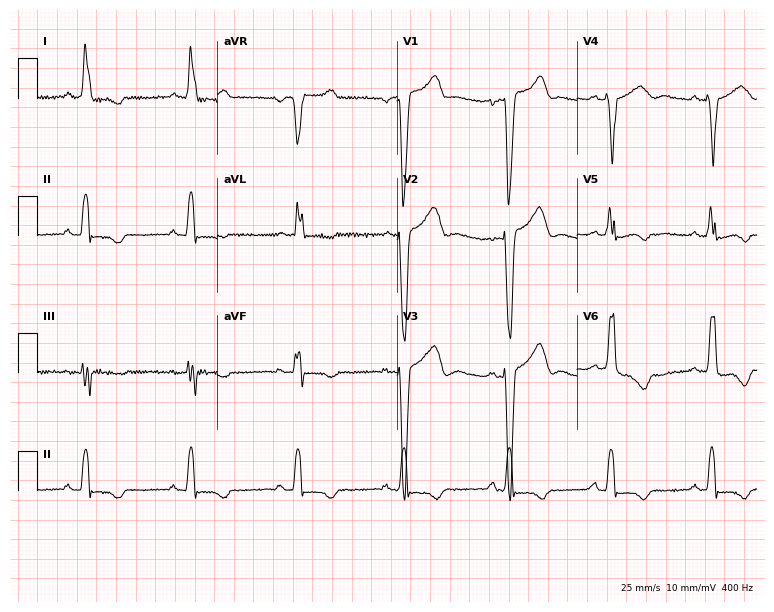
12-lead ECG (7.3-second recording at 400 Hz) from a woman, 54 years old. Findings include left bundle branch block.